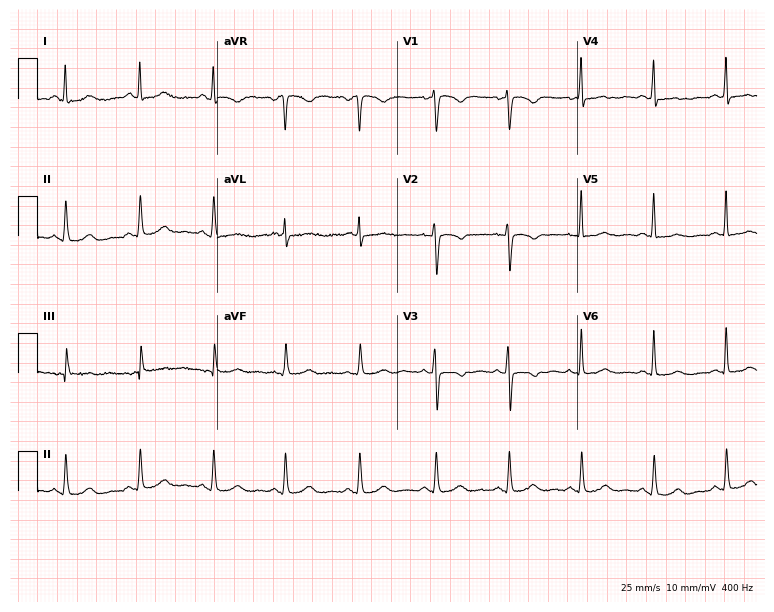
Electrocardiogram (7.3-second recording at 400 Hz), a 42-year-old woman. Overall reading on record: normal ECG.